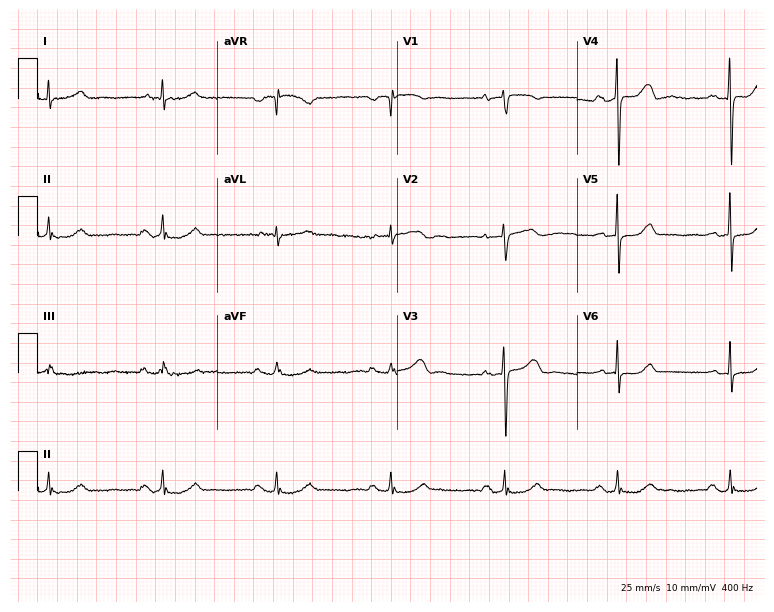
12-lead ECG (7.3-second recording at 400 Hz) from a 68-year-old man. Screened for six findings — first-degree AV block, right bundle branch block, left bundle branch block, sinus bradycardia, atrial fibrillation, sinus tachycardia — none is recorded. Only these six findings were labelled.